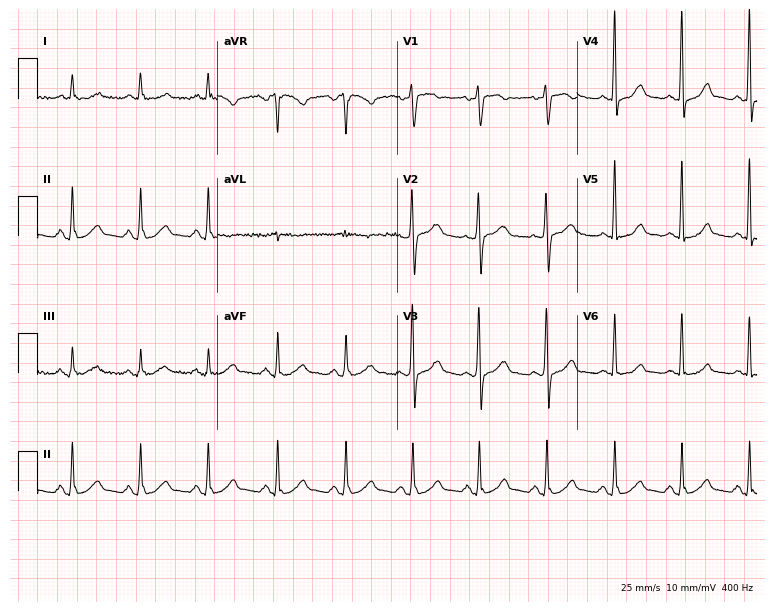
Resting 12-lead electrocardiogram. Patient: a male, 56 years old. Read as a normal ECG.